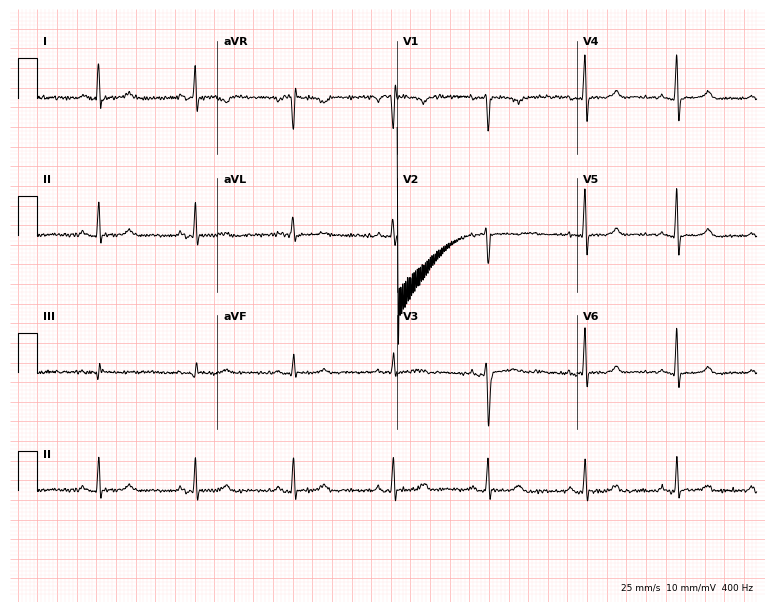
12-lead ECG from a female patient, 42 years old. Recorded interpretation: within normal limits.